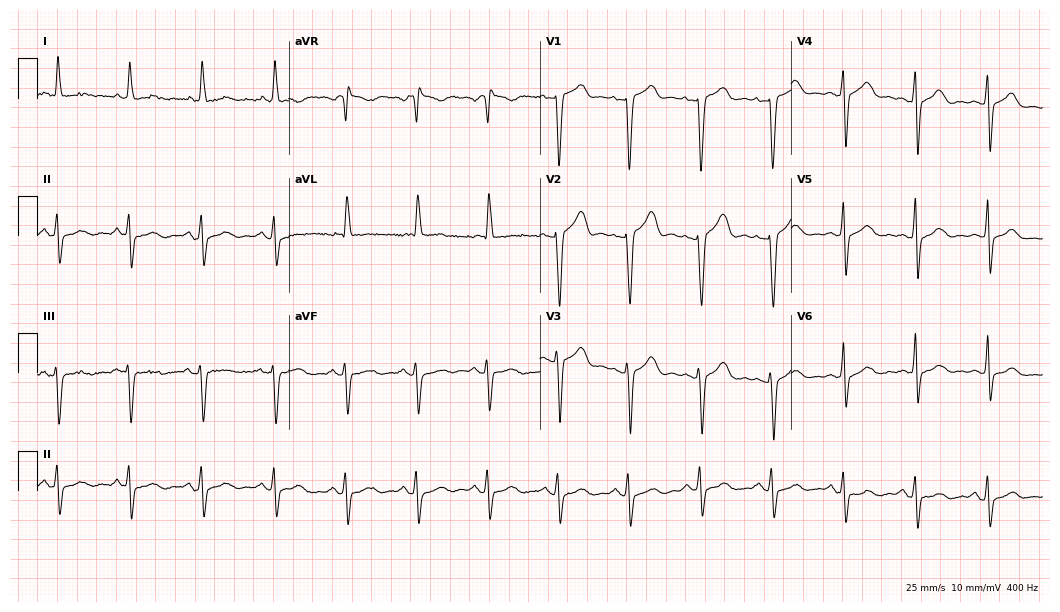
Resting 12-lead electrocardiogram. Patient: a 34-year-old female. None of these six findings is recorded: first-degree AV block, right bundle branch block, left bundle branch block, sinus bradycardia, atrial fibrillation, sinus tachycardia. Other findings, if any, are not listed.